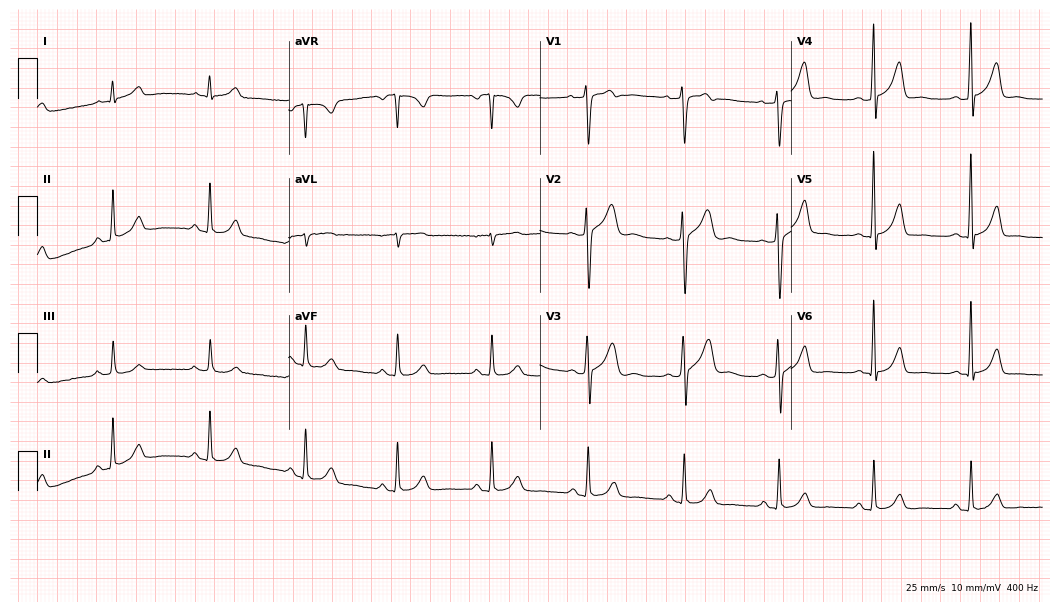
Resting 12-lead electrocardiogram (10.2-second recording at 400 Hz). Patient: a male, 54 years old. Read as a normal ECG.